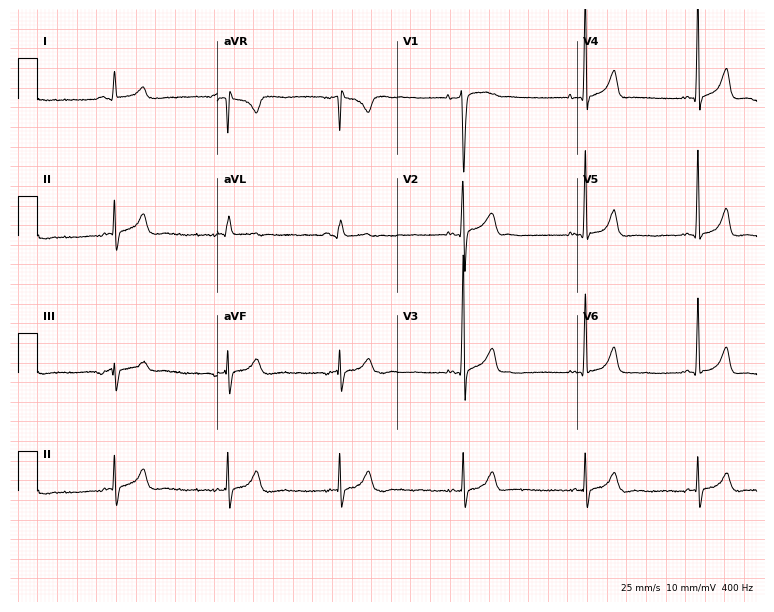
Resting 12-lead electrocardiogram (7.3-second recording at 400 Hz). Patient: a 21-year-old male. Read as a normal ECG.